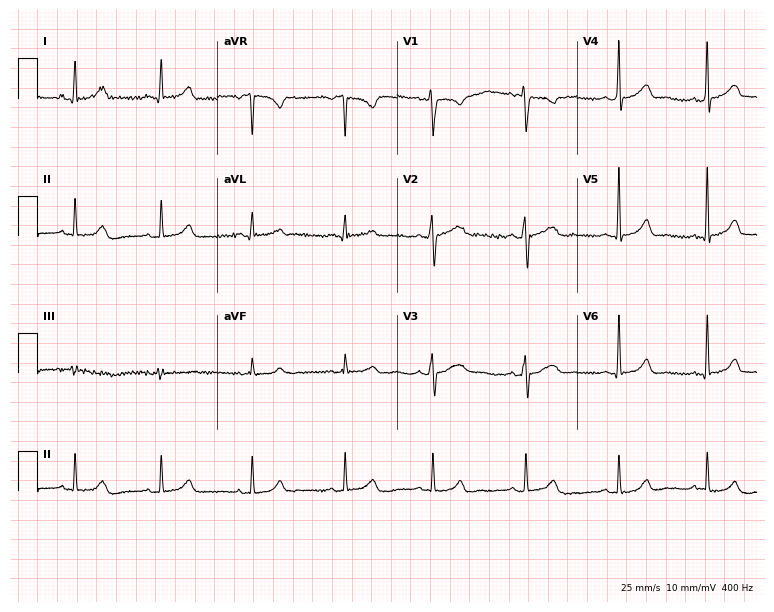
Standard 12-lead ECG recorded from a woman, 35 years old (7.3-second recording at 400 Hz). None of these six findings is recorded: first-degree AV block, right bundle branch block, left bundle branch block, sinus bradycardia, atrial fibrillation, sinus tachycardia. Other findings, if any, are not listed.